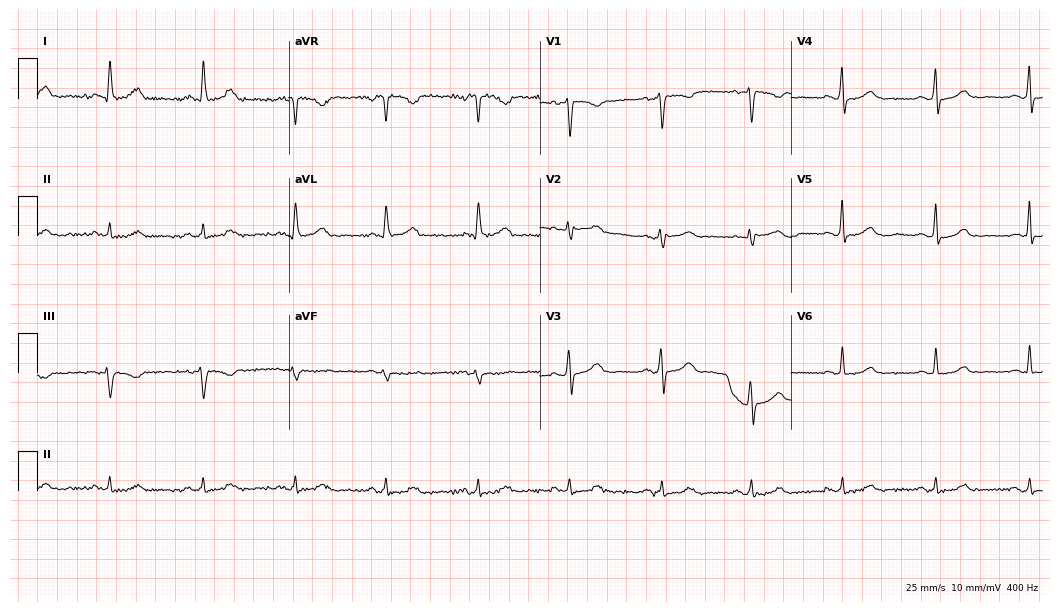
Resting 12-lead electrocardiogram (10.2-second recording at 400 Hz). Patient: a 47-year-old female. None of these six findings is recorded: first-degree AV block, right bundle branch block, left bundle branch block, sinus bradycardia, atrial fibrillation, sinus tachycardia. Only these six findings were labelled.